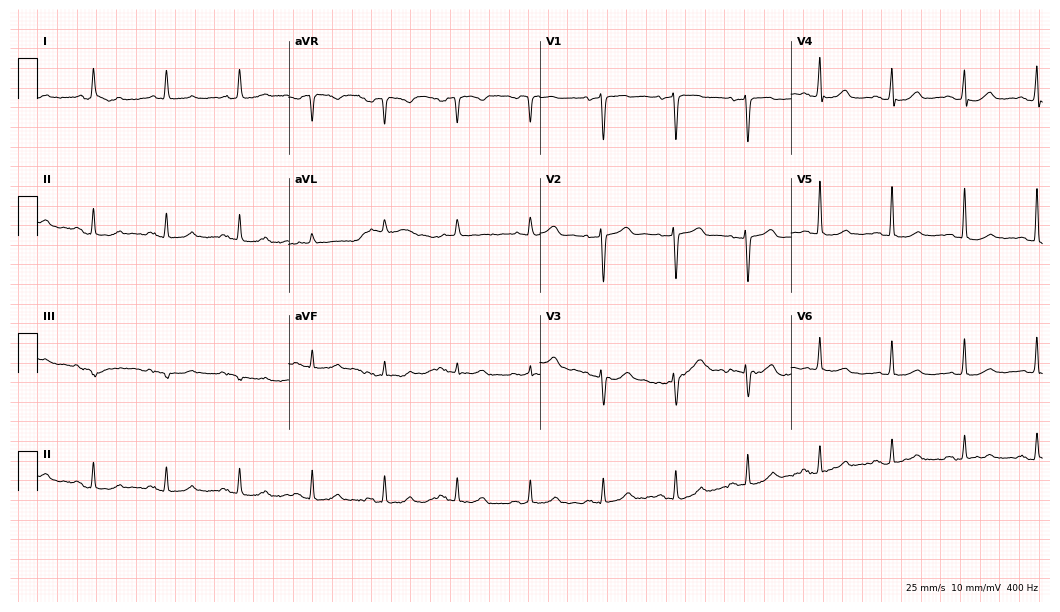
Standard 12-lead ECG recorded from a female, 82 years old. None of these six findings is recorded: first-degree AV block, right bundle branch block (RBBB), left bundle branch block (LBBB), sinus bradycardia, atrial fibrillation (AF), sinus tachycardia. Findings outside these six are not listed.